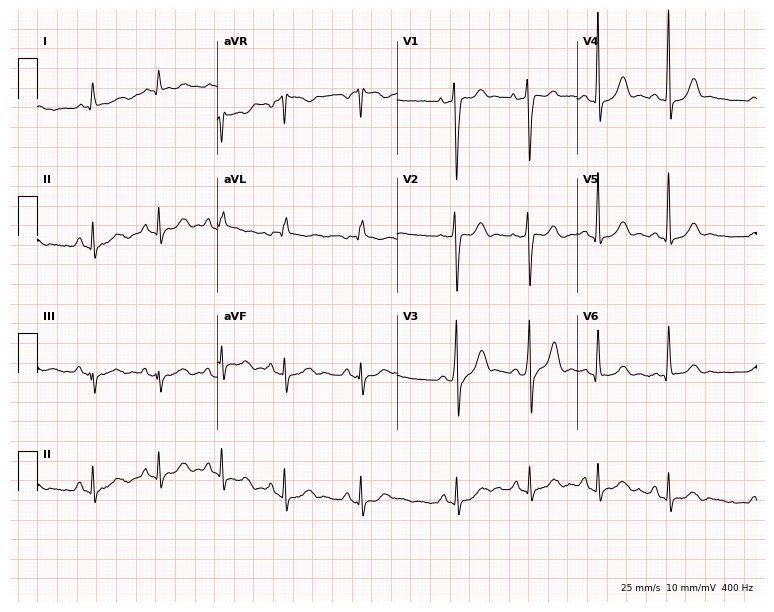
Electrocardiogram, a 17-year-old man. Of the six screened findings (first-degree AV block, right bundle branch block, left bundle branch block, sinus bradycardia, atrial fibrillation, sinus tachycardia), none is recorded. Only these six findings were labelled.